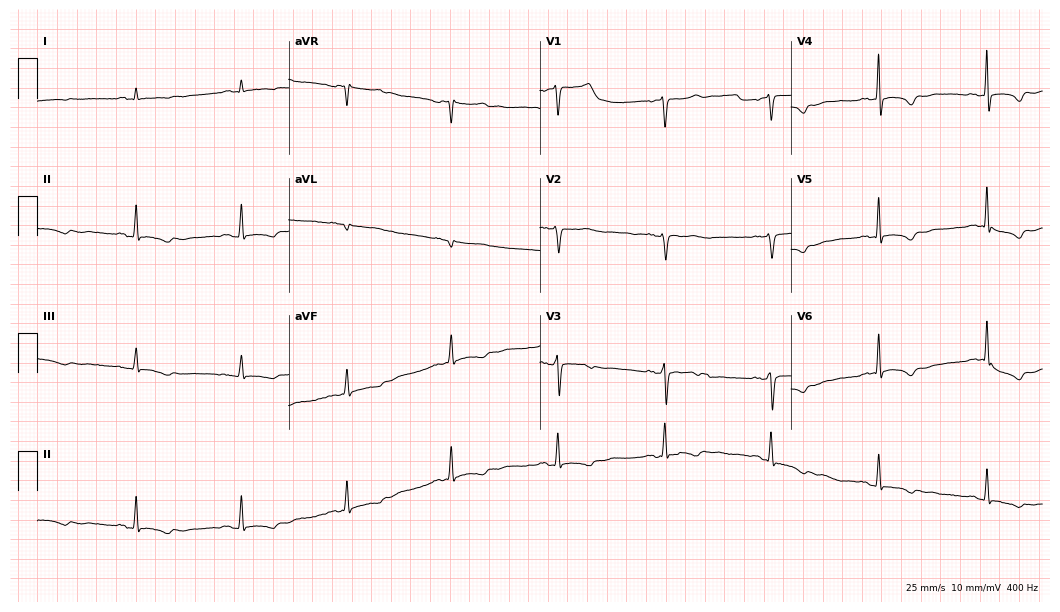
Electrocardiogram, a man, 51 years old. Of the six screened findings (first-degree AV block, right bundle branch block (RBBB), left bundle branch block (LBBB), sinus bradycardia, atrial fibrillation (AF), sinus tachycardia), none is recorded. Other findings, if any, are not listed.